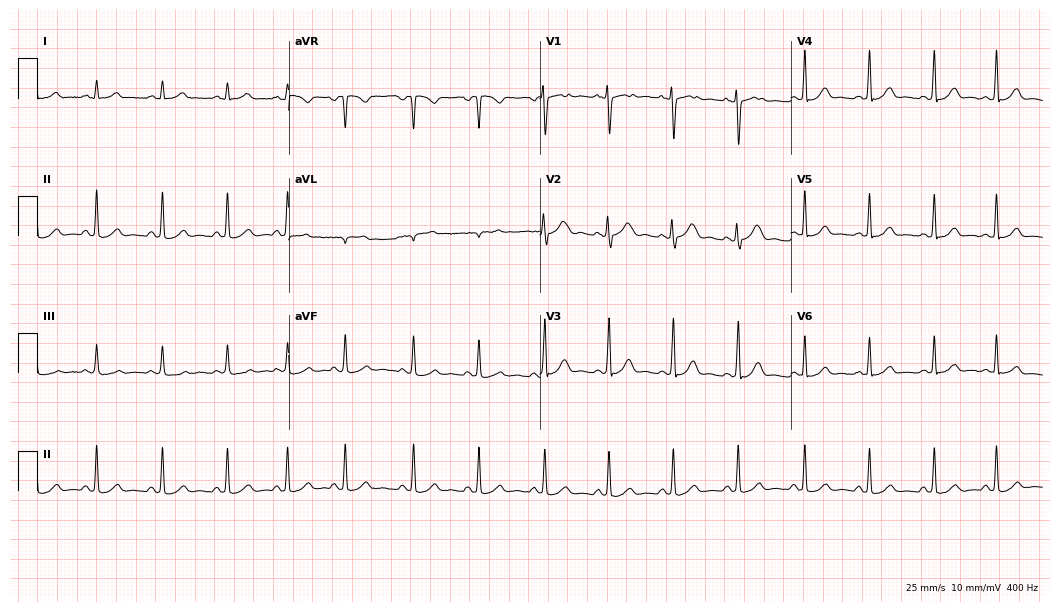
Standard 12-lead ECG recorded from a woman, 26 years old. Read as a normal ECG.